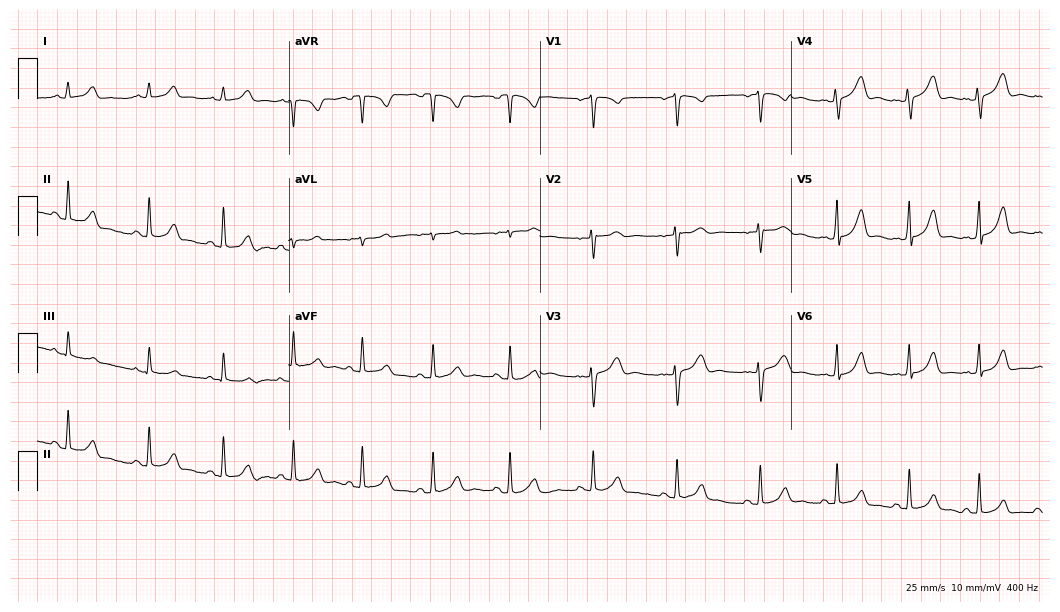
Standard 12-lead ECG recorded from an 18-year-old woman (10.2-second recording at 400 Hz). Read as a normal ECG.